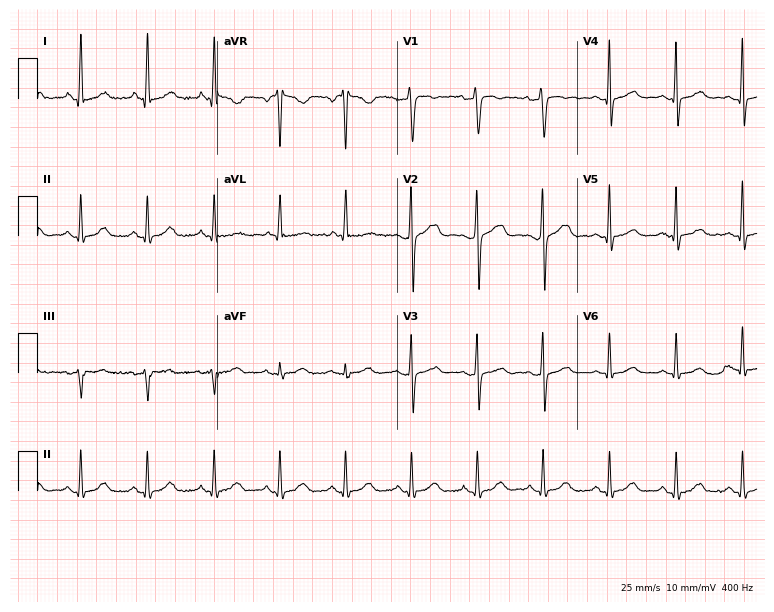
Standard 12-lead ECG recorded from a 78-year-old woman. Read as a normal ECG.